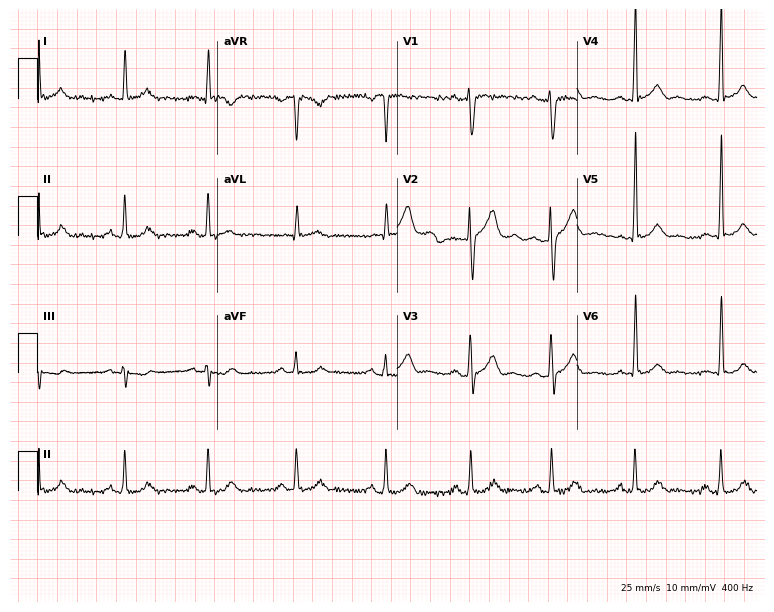
12-lead ECG from a male patient, 44 years old. Recorded interpretation: within normal limits.